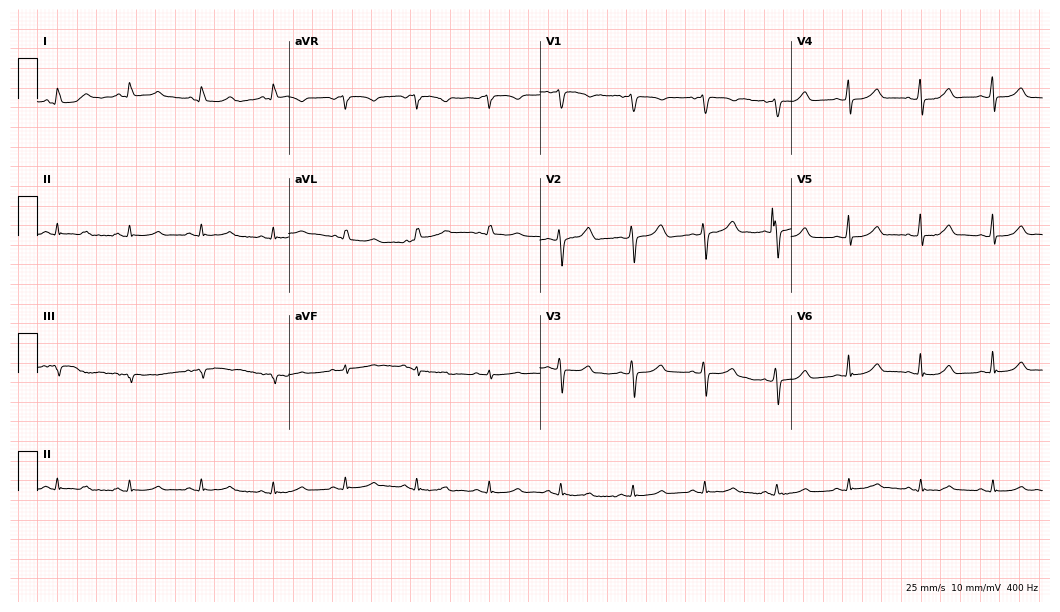
Standard 12-lead ECG recorded from a female, 61 years old. Read as a normal ECG.